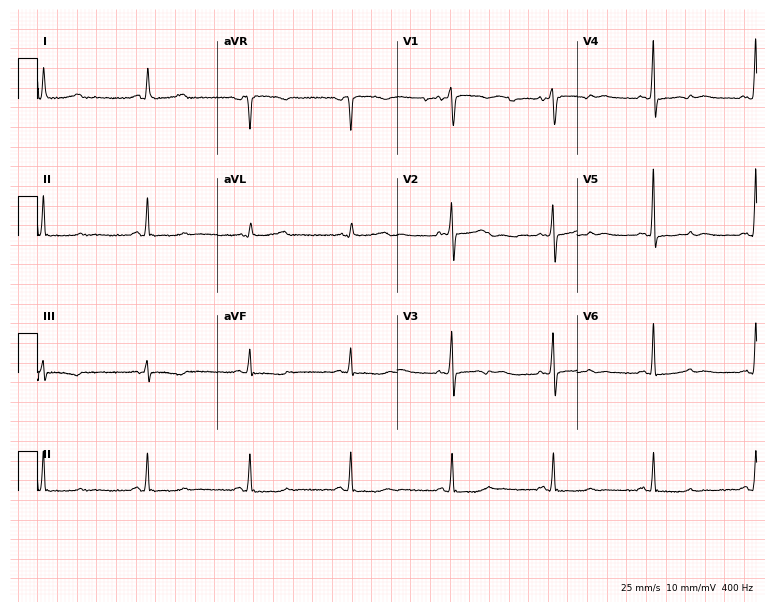
12-lead ECG from a 47-year-old woman. Screened for six findings — first-degree AV block, right bundle branch block, left bundle branch block, sinus bradycardia, atrial fibrillation, sinus tachycardia — none is recorded.